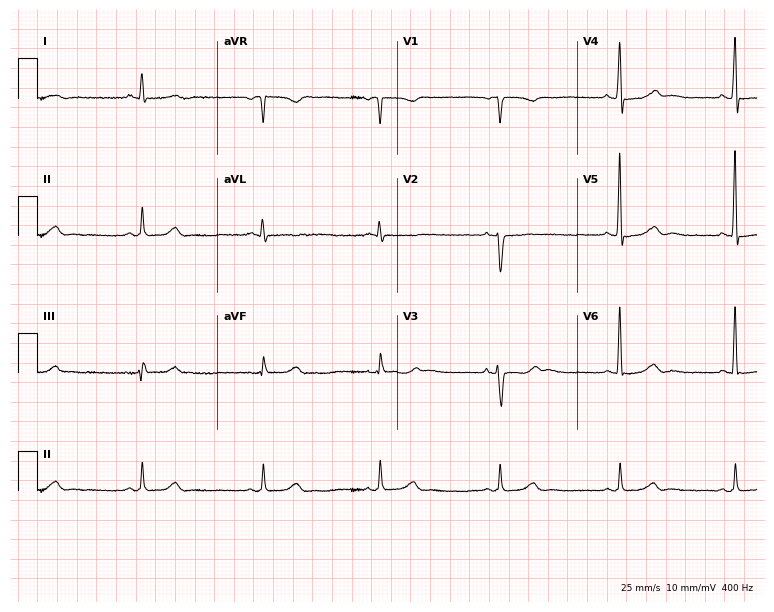
ECG (7.3-second recording at 400 Hz) — a male, 58 years old. Findings include sinus bradycardia (a sinus rate of 50 beats per minute or less).